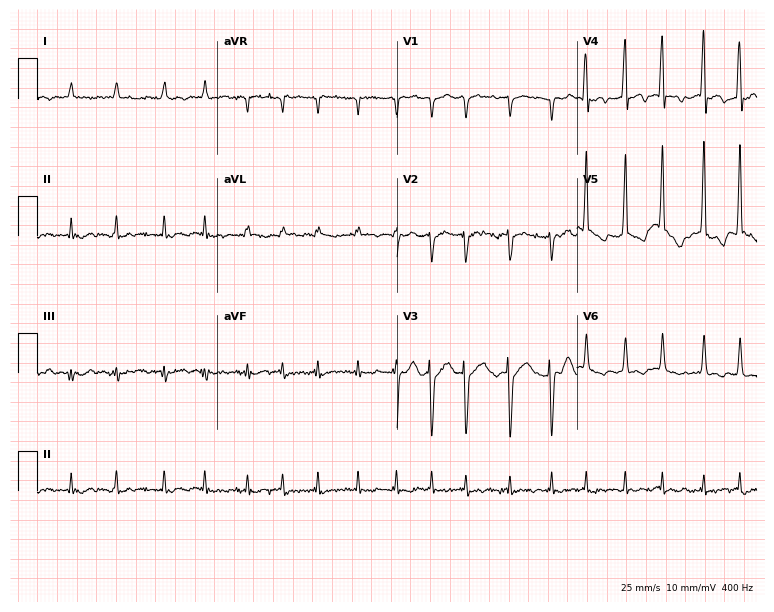
12-lead ECG from a 78-year-old man. Shows atrial fibrillation (AF).